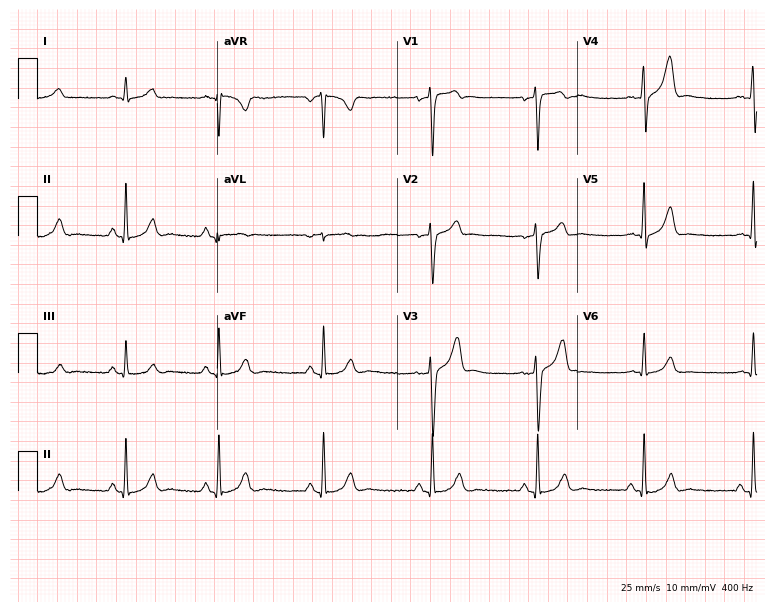
Standard 12-lead ECG recorded from a 33-year-old male. Read as a normal ECG.